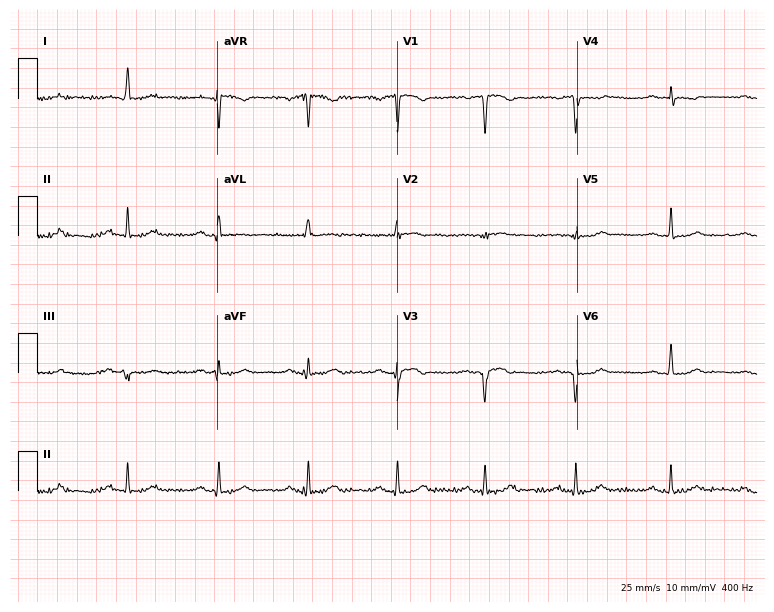
Electrocardiogram, a 62-year-old man. Of the six screened findings (first-degree AV block, right bundle branch block, left bundle branch block, sinus bradycardia, atrial fibrillation, sinus tachycardia), none is recorded. Only these six findings were labelled.